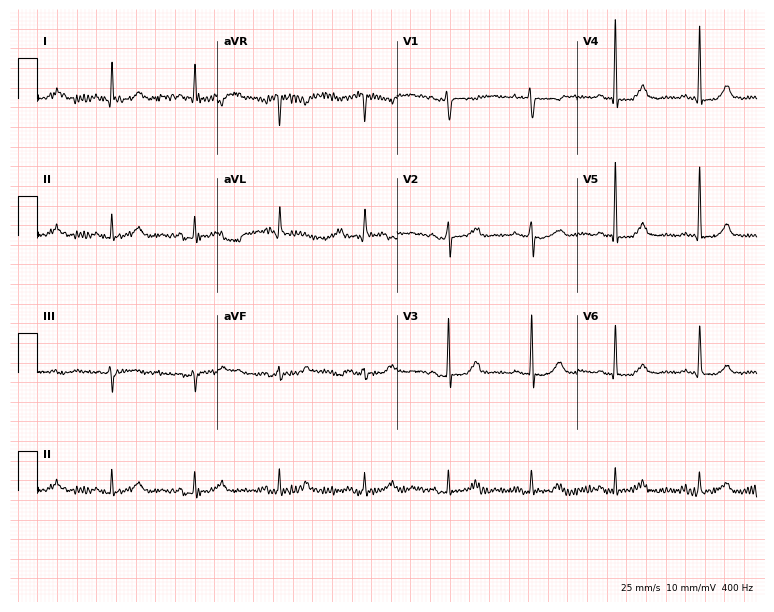
Electrocardiogram (7.3-second recording at 400 Hz), a 78-year-old woman. Of the six screened findings (first-degree AV block, right bundle branch block, left bundle branch block, sinus bradycardia, atrial fibrillation, sinus tachycardia), none is recorded.